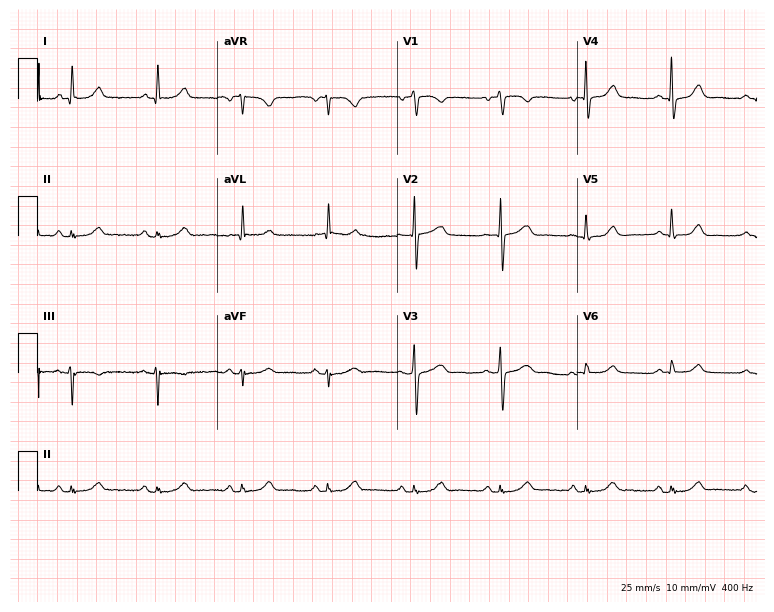
12-lead ECG from a 70-year-old woman. Labelled as a normal ECG.